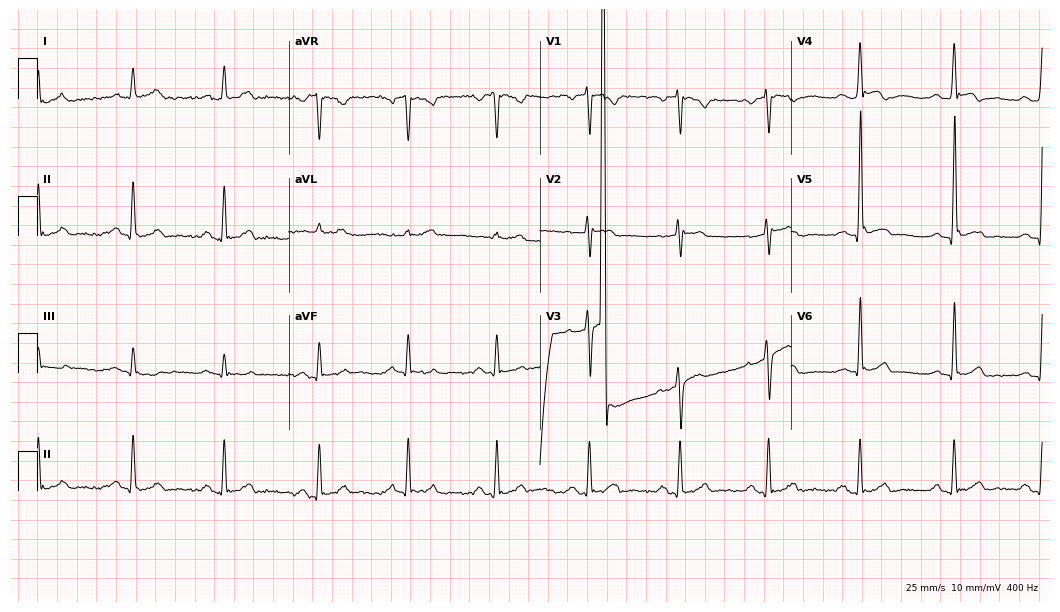
12-lead ECG from a 41-year-old male. Screened for six findings — first-degree AV block, right bundle branch block (RBBB), left bundle branch block (LBBB), sinus bradycardia, atrial fibrillation (AF), sinus tachycardia — none is recorded.